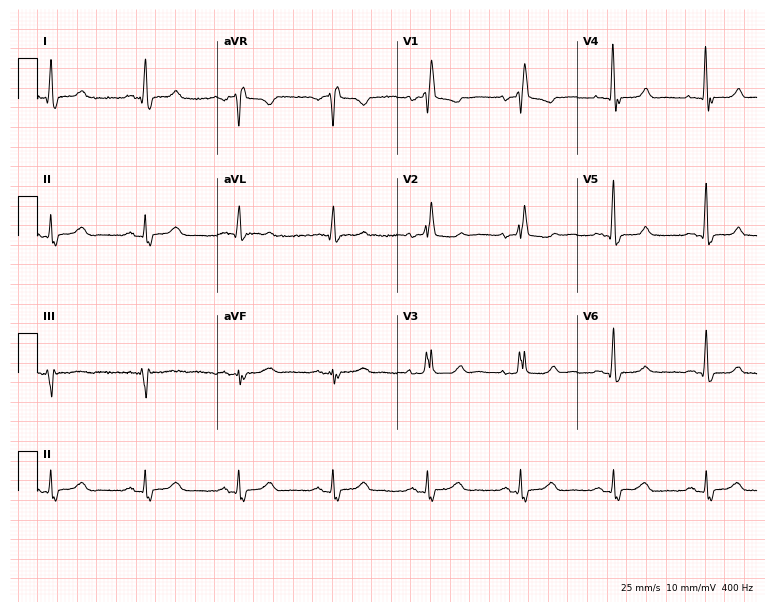
12-lead ECG from an 85-year-old woman. Findings include right bundle branch block (RBBB).